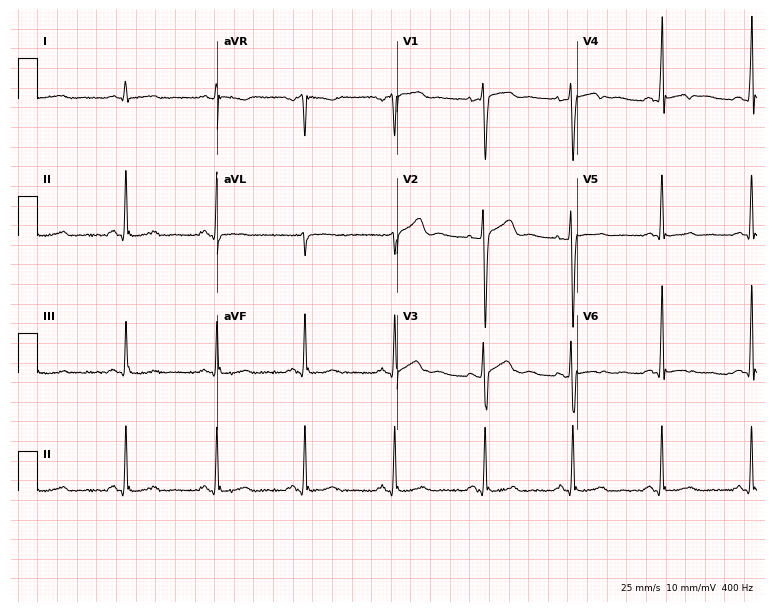
12-lead ECG from a 35-year-old man (7.3-second recording at 400 Hz). No first-degree AV block, right bundle branch block, left bundle branch block, sinus bradycardia, atrial fibrillation or sinus tachycardia recorded for this tracing.